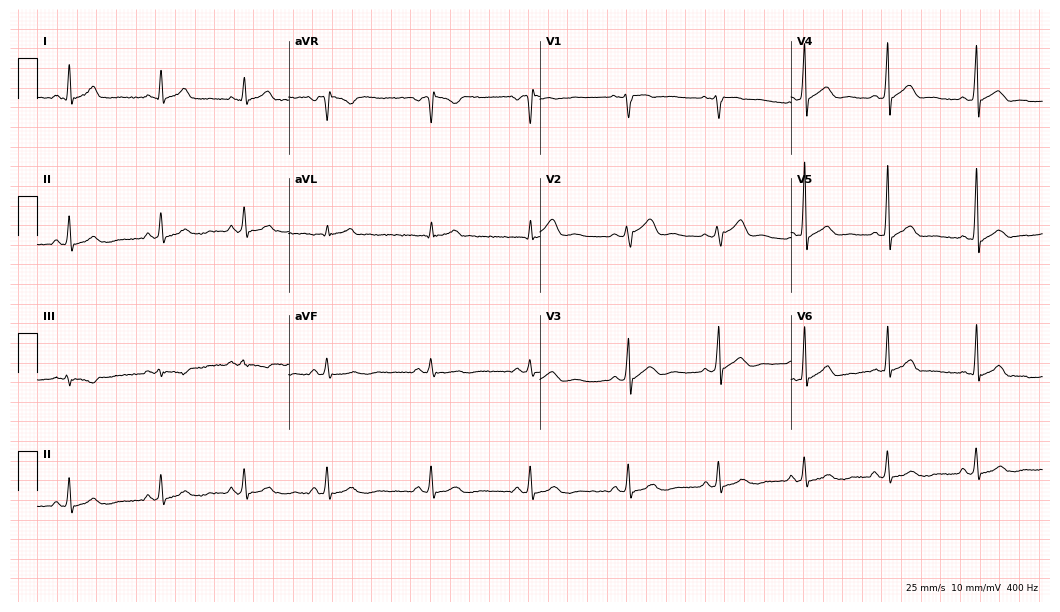
Electrocardiogram, a man, 33 years old. Of the six screened findings (first-degree AV block, right bundle branch block (RBBB), left bundle branch block (LBBB), sinus bradycardia, atrial fibrillation (AF), sinus tachycardia), none is recorded.